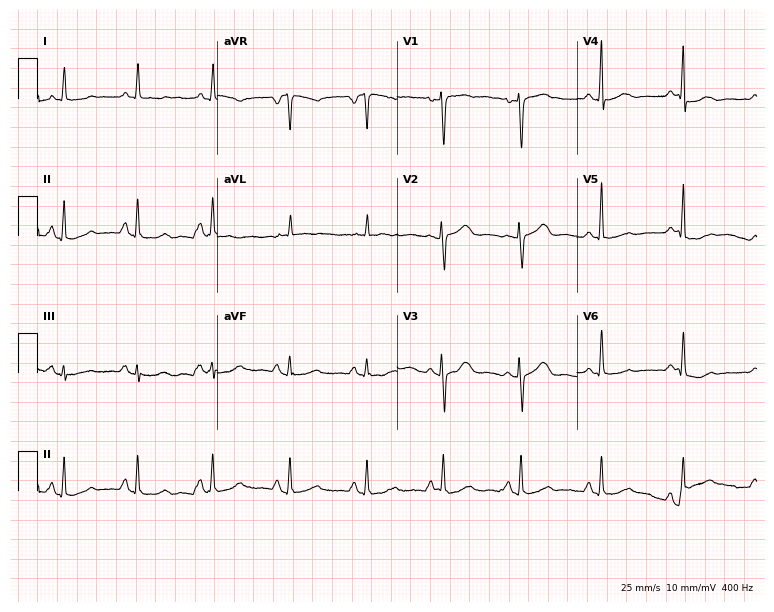
Standard 12-lead ECG recorded from a 47-year-old female (7.3-second recording at 400 Hz). Read as a normal ECG.